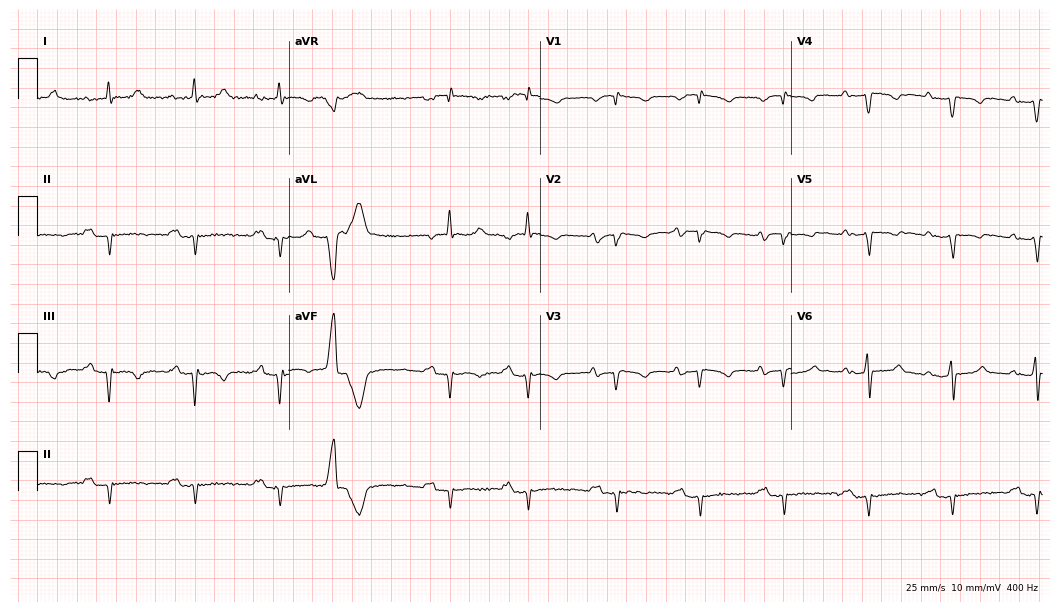
12-lead ECG from a man, 61 years old. No first-degree AV block, right bundle branch block (RBBB), left bundle branch block (LBBB), sinus bradycardia, atrial fibrillation (AF) or sinus tachycardia recorded for this tracing. Findings outside these six are not listed.